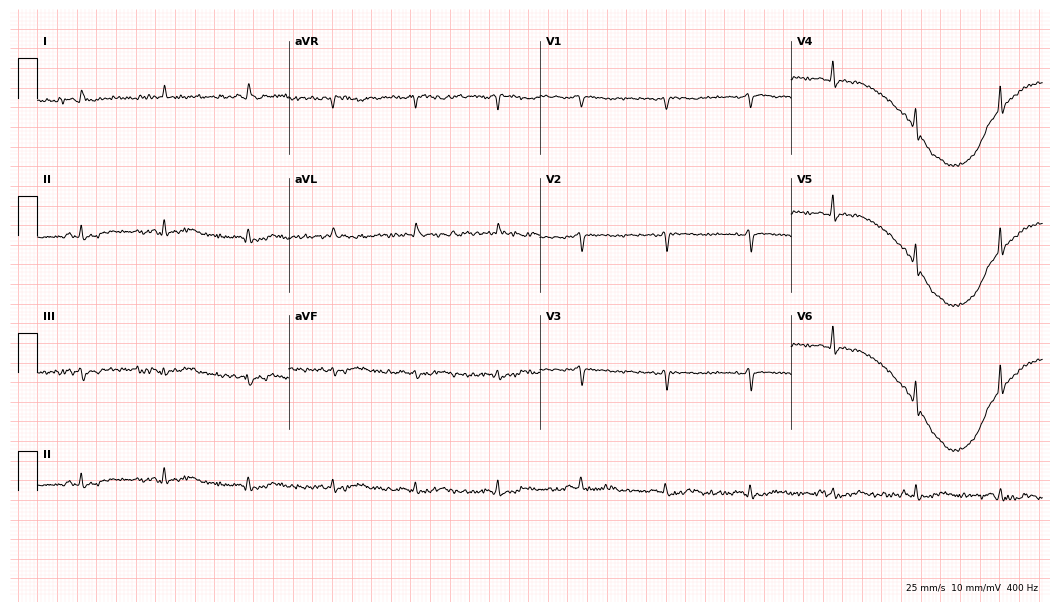
ECG — a female patient, 84 years old. Screened for six findings — first-degree AV block, right bundle branch block (RBBB), left bundle branch block (LBBB), sinus bradycardia, atrial fibrillation (AF), sinus tachycardia — none is recorded. Findings outside these six are not listed.